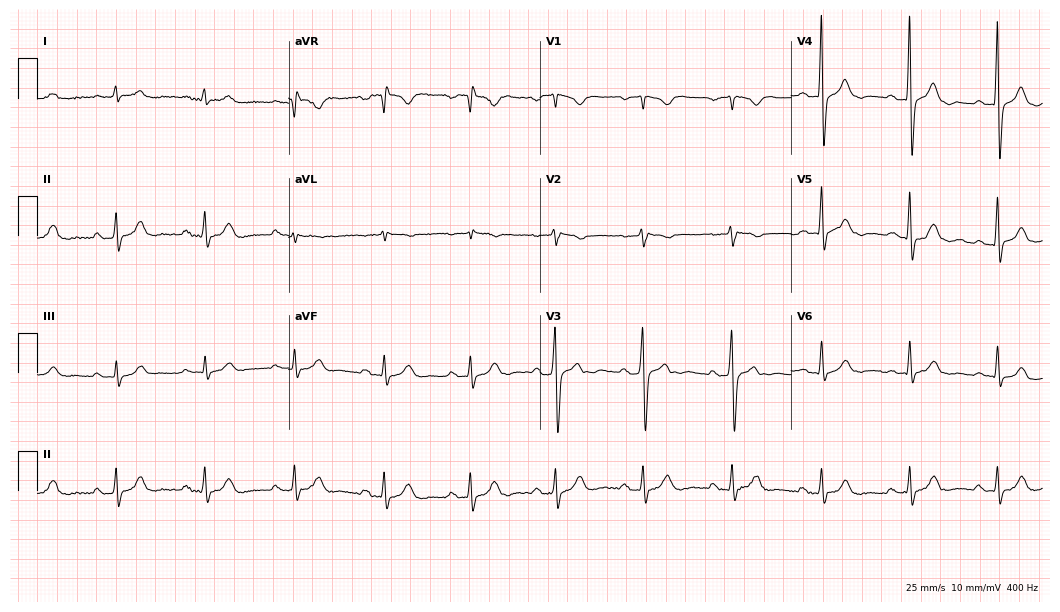
Standard 12-lead ECG recorded from a male patient, 55 years old. None of these six findings is recorded: first-degree AV block, right bundle branch block, left bundle branch block, sinus bradycardia, atrial fibrillation, sinus tachycardia.